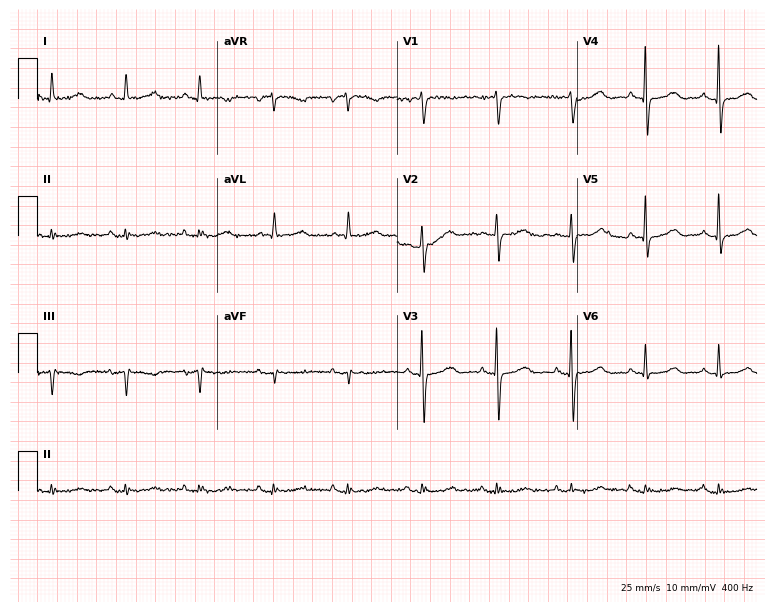
Standard 12-lead ECG recorded from a woman, 81 years old (7.3-second recording at 400 Hz). Read as a normal ECG.